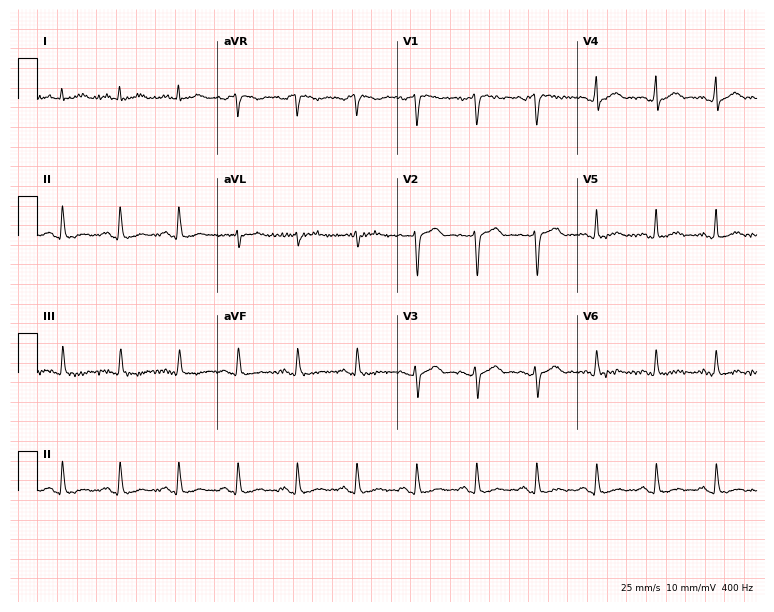
Resting 12-lead electrocardiogram. Patient: a 42-year-old male. Read as a normal ECG.